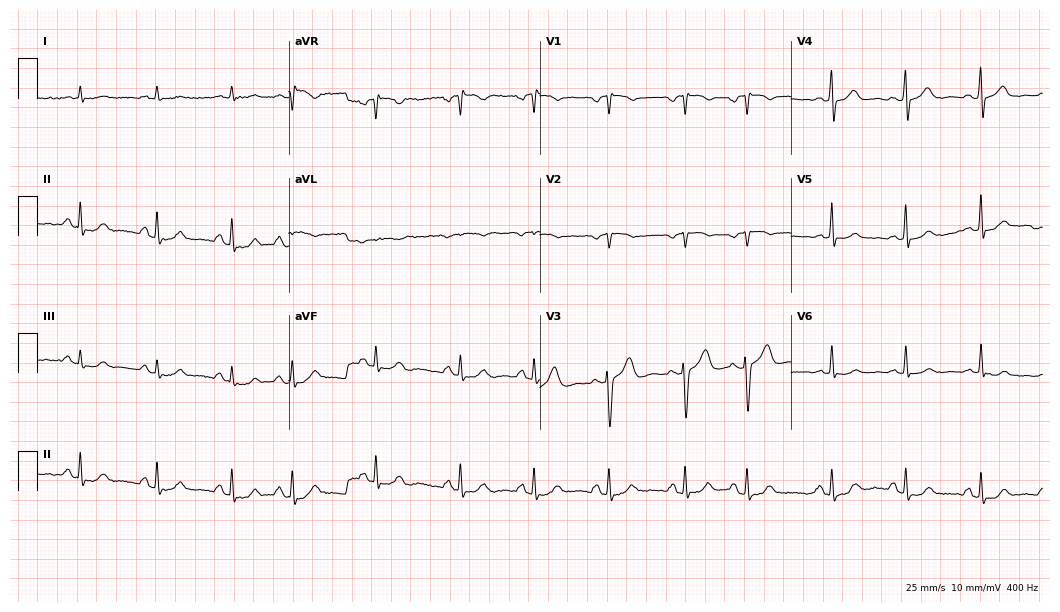
Standard 12-lead ECG recorded from a 66-year-old male (10.2-second recording at 400 Hz). Read as a normal ECG.